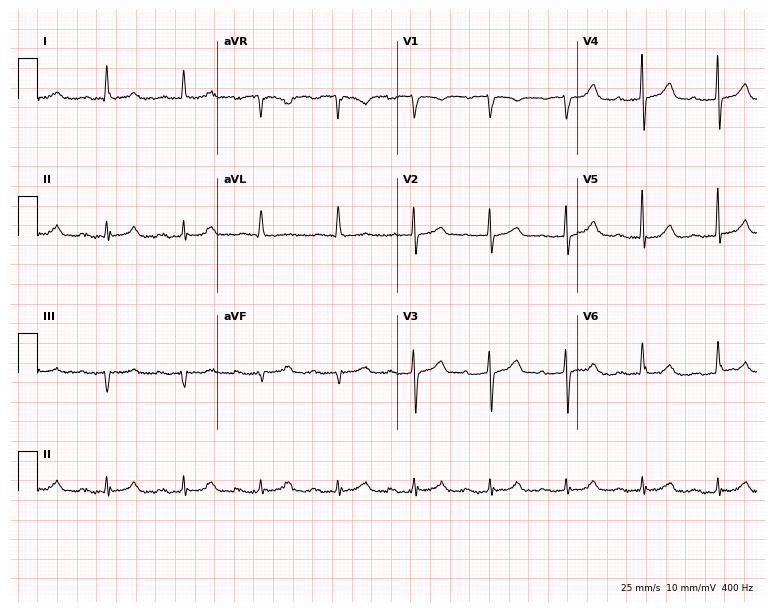
12-lead ECG (7.3-second recording at 400 Hz) from a 70-year-old male patient. Findings include first-degree AV block.